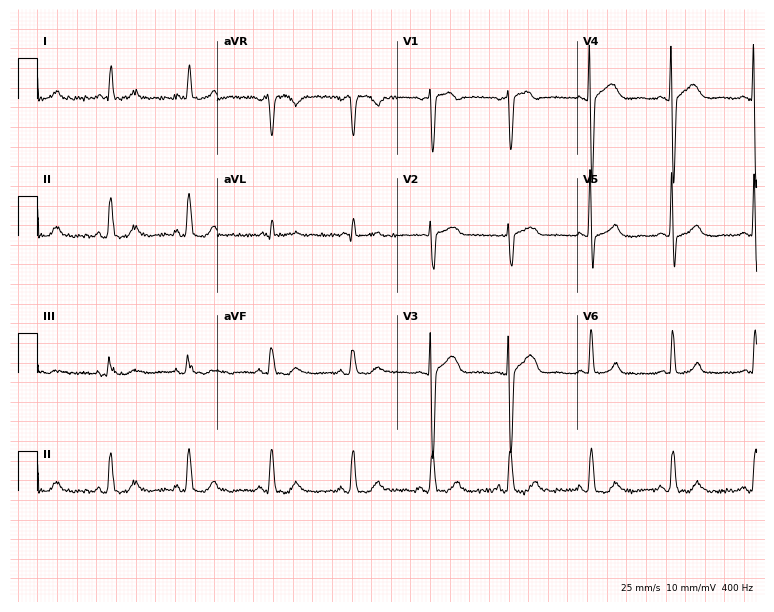
12-lead ECG (7.3-second recording at 400 Hz) from a 71-year-old woman. Screened for six findings — first-degree AV block, right bundle branch block, left bundle branch block, sinus bradycardia, atrial fibrillation, sinus tachycardia — none is recorded. Only these six findings were labelled.